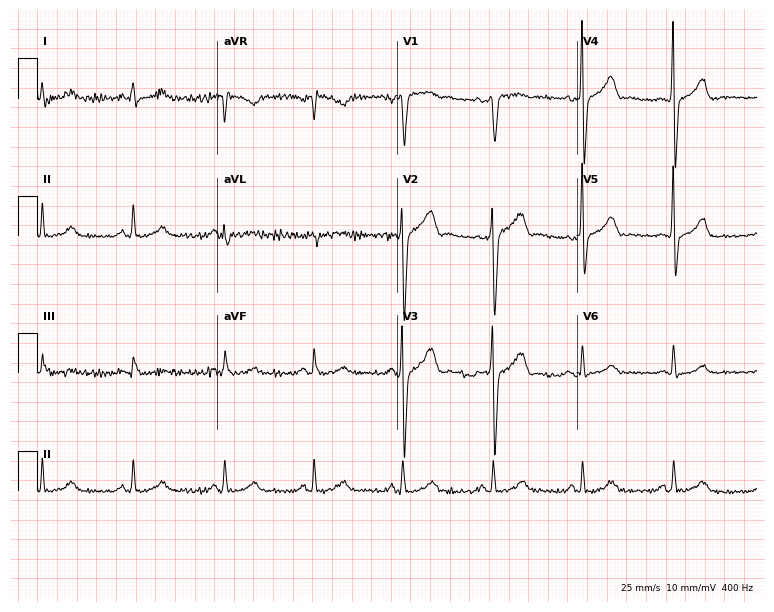
12-lead ECG from a male, 46 years old (7.3-second recording at 400 Hz). No first-degree AV block, right bundle branch block (RBBB), left bundle branch block (LBBB), sinus bradycardia, atrial fibrillation (AF) or sinus tachycardia recorded for this tracing. Findings outside these six are not listed.